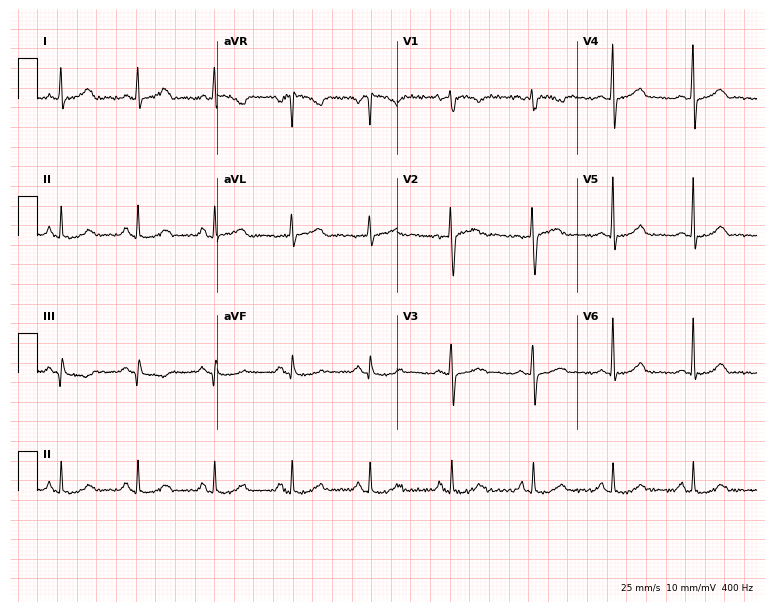
Electrocardiogram, a woman, 29 years old. Overall reading on record: normal ECG.